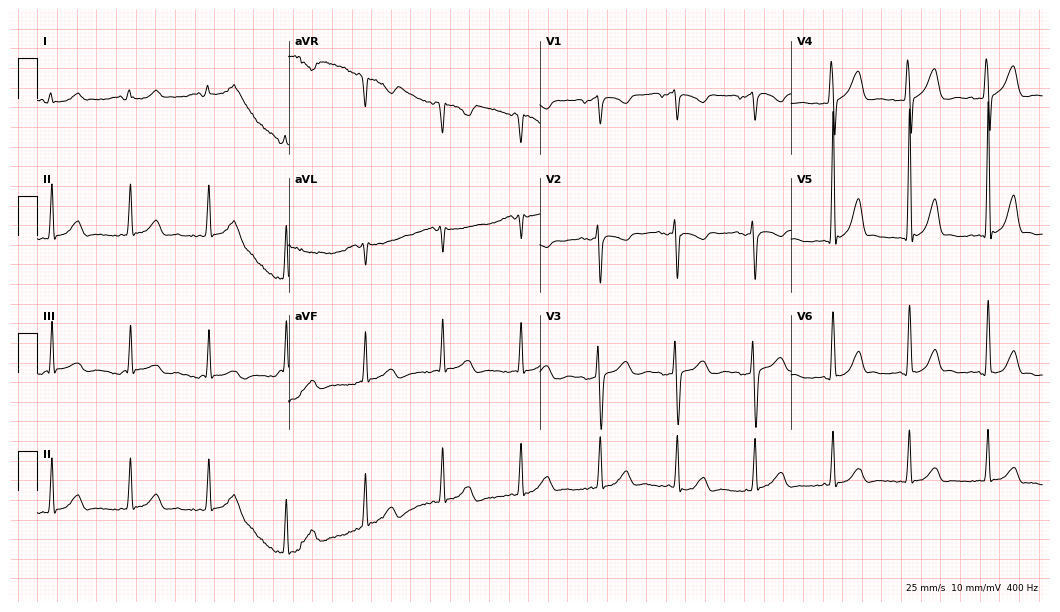
ECG — a woman, 25 years old. Screened for six findings — first-degree AV block, right bundle branch block (RBBB), left bundle branch block (LBBB), sinus bradycardia, atrial fibrillation (AF), sinus tachycardia — none is recorded.